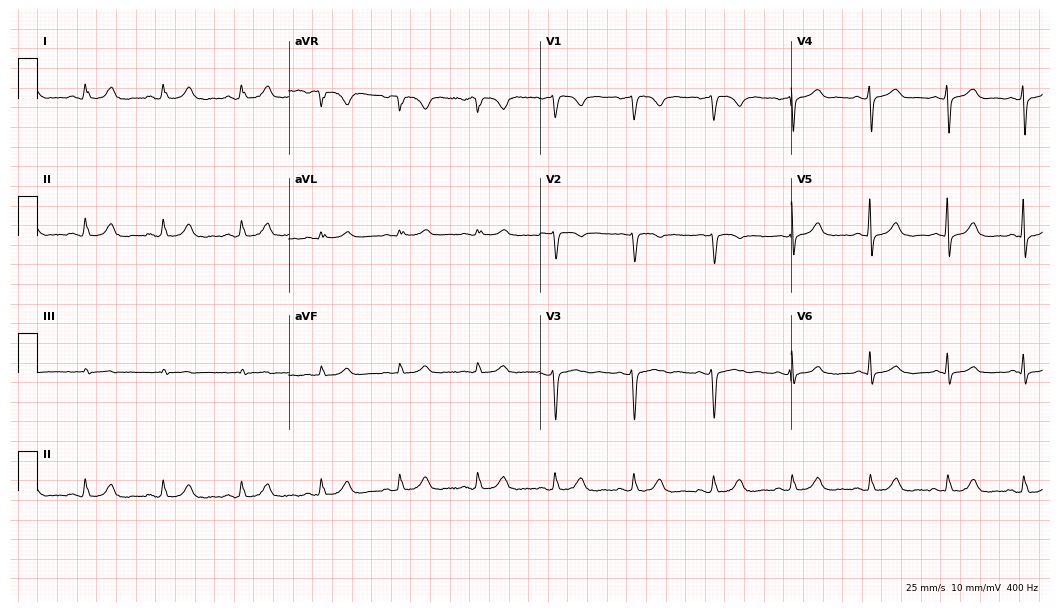
Standard 12-lead ECG recorded from a female patient, 53 years old (10.2-second recording at 400 Hz). None of these six findings is recorded: first-degree AV block, right bundle branch block, left bundle branch block, sinus bradycardia, atrial fibrillation, sinus tachycardia. Only these six findings were labelled.